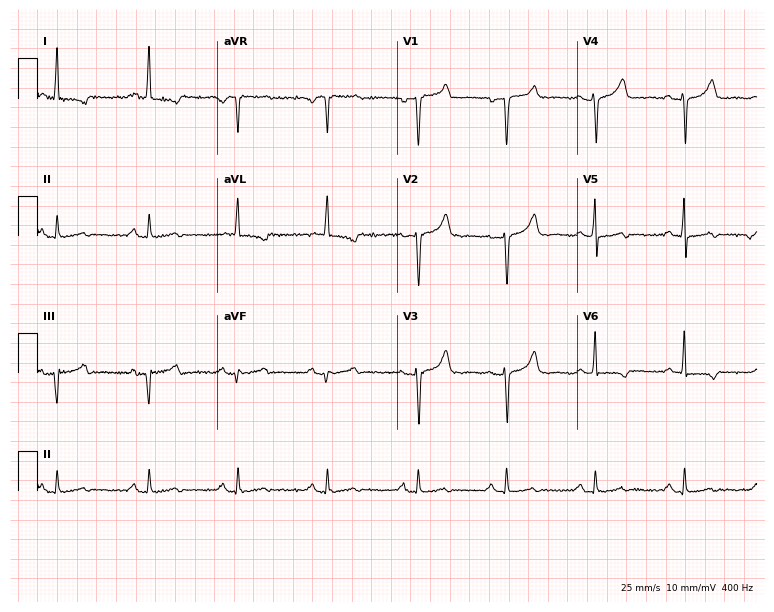
Standard 12-lead ECG recorded from a 57-year-old female (7.3-second recording at 400 Hz). None of these six findings is recorded: first-degree AV block, right bundle branch block, left bundle branch block, sinus bradycardia, atrial fibrillation, sinus tachycardia.